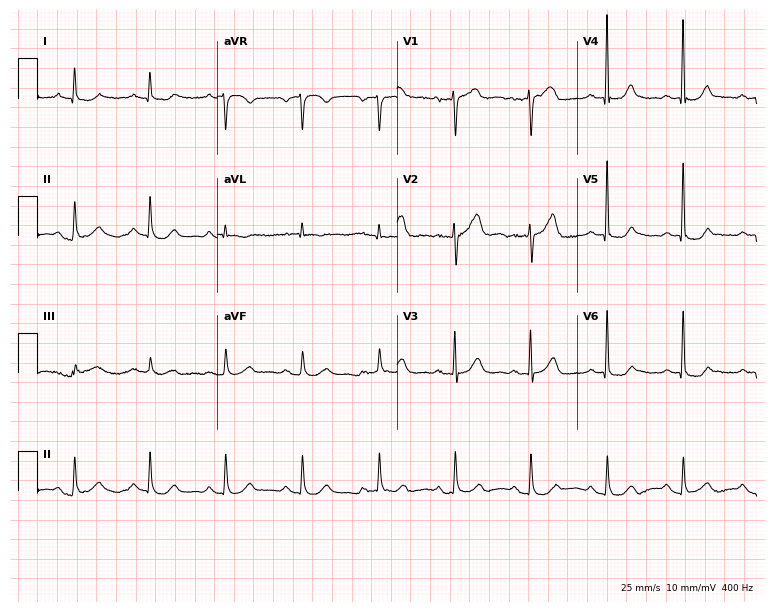
Resting 12-lead electrocardiogram (7.3-second recording at 400 Hz). Patient: an 82-year-old female. None of these six findings is recorded: first-degree AV block, right bundle branch block, left bundle branch block, sinus bradycardia, atrial fibrillation, sinus tachycardia.